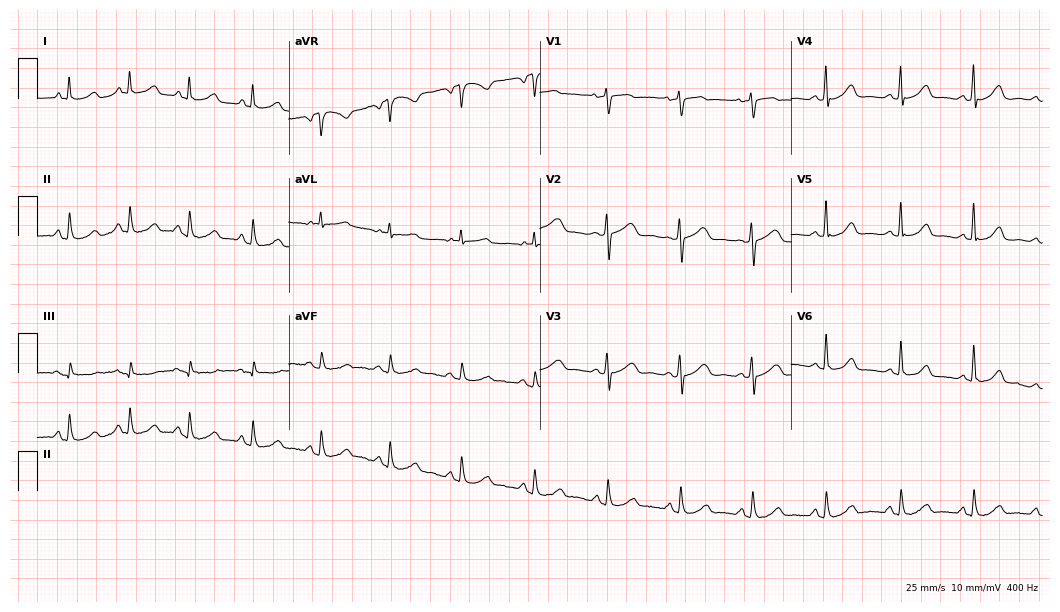
12-lead ECG from a female patient, 57 years old. Recorded interpretation: within normal limits.